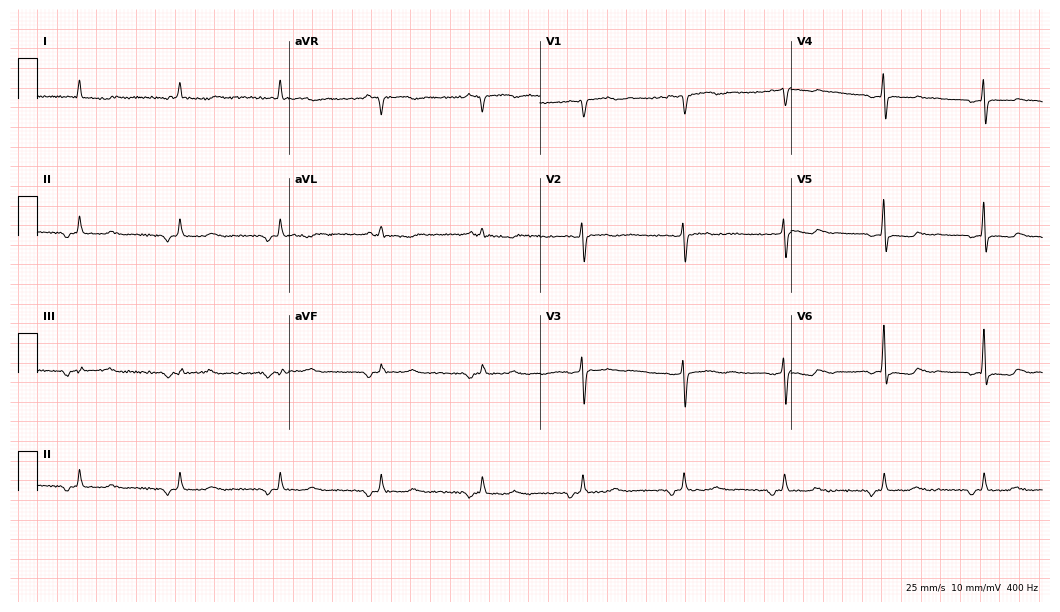
ECG — an 80-year-old man. Screened for six findings — first-degree AV block, right bundle branch block, left bundle branch block, sinus bradycardia, atrial fibrillation, sinus tachycardia — none is recorded. Only these six findings were labelled.